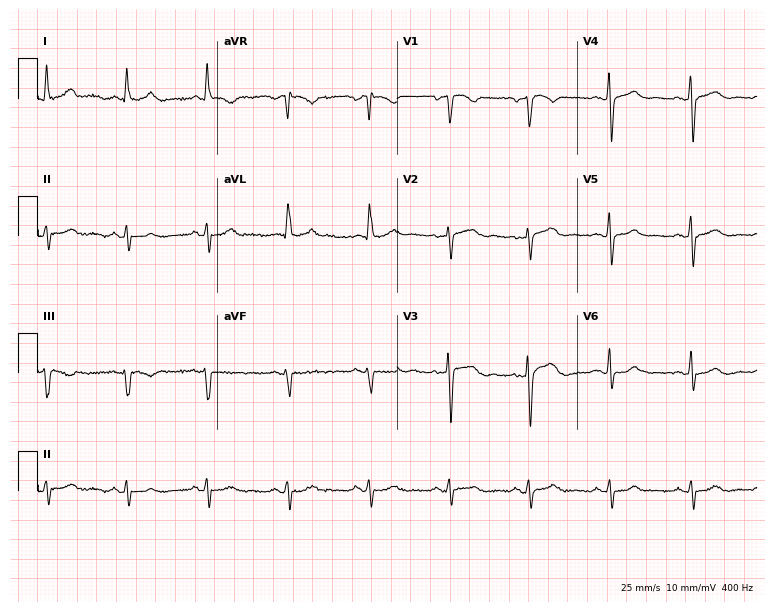
Electrocardiogram, an 84-year-old female. Of the six screened findings (first-degree AV block, right bundle branch block (RBBB), left bundle branch block (LBBB), sinus bradycardia, atrial fibrillation (AF), sinus tachycardia), none is recorded. Findings outside these six are not listed.